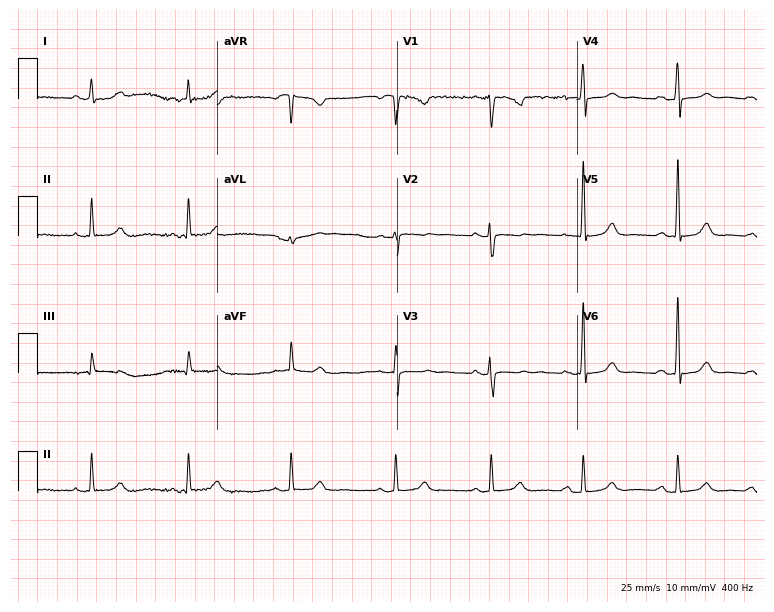
Standard 12-lead ECG recorded from a woman, 39 years old. None of these six findings is recorded: first-degree AV block, right bundle branch block (RBBB), left bundle branch block (LBBB), sinus bradycardia, atrial fibrillation (AF), sinus tachycardia. Findings outside these six are not listed.